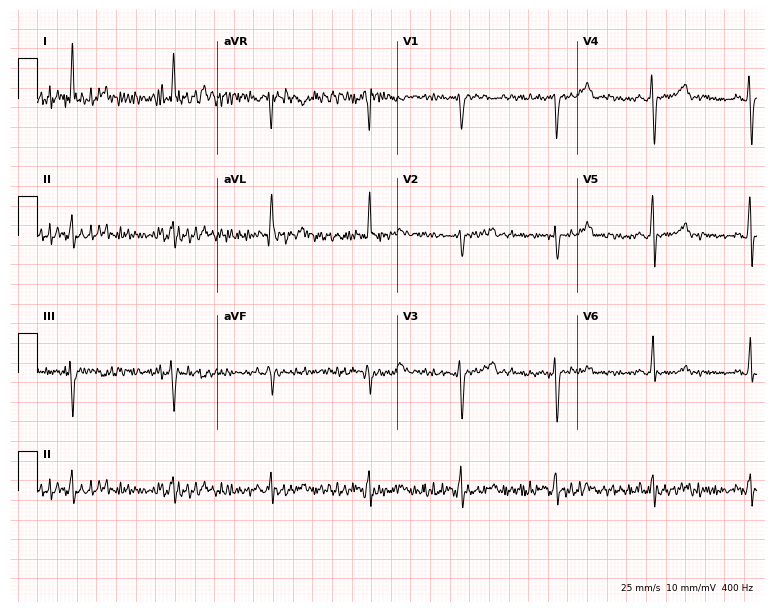
Electrocardiogram, a man, 49 years old. Of the six screened findings (first-degree AV block, right bundle branch block, left bundle branch block, sinus bradycardia, atrial fibrillation, sinus tachycardia), none is recorded.